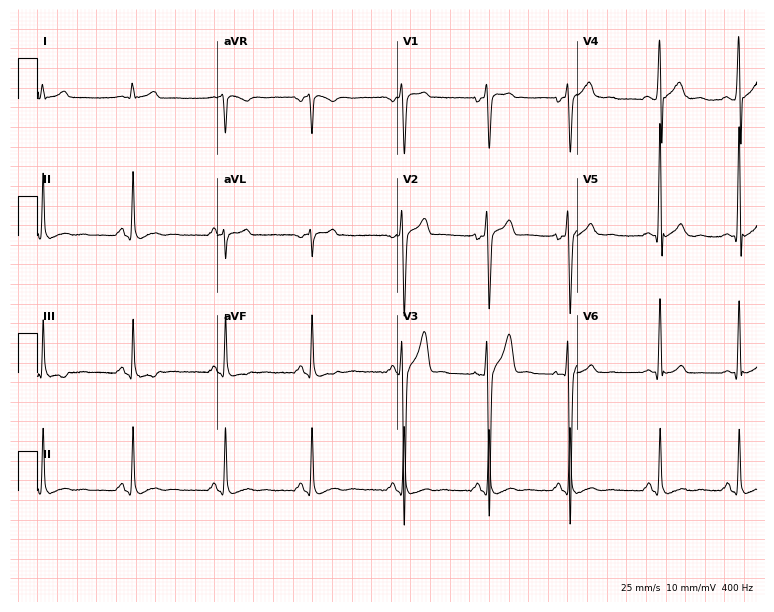
Standard 12-lead ECG recorded from a 17-year-old man. Read as a normal ECG.